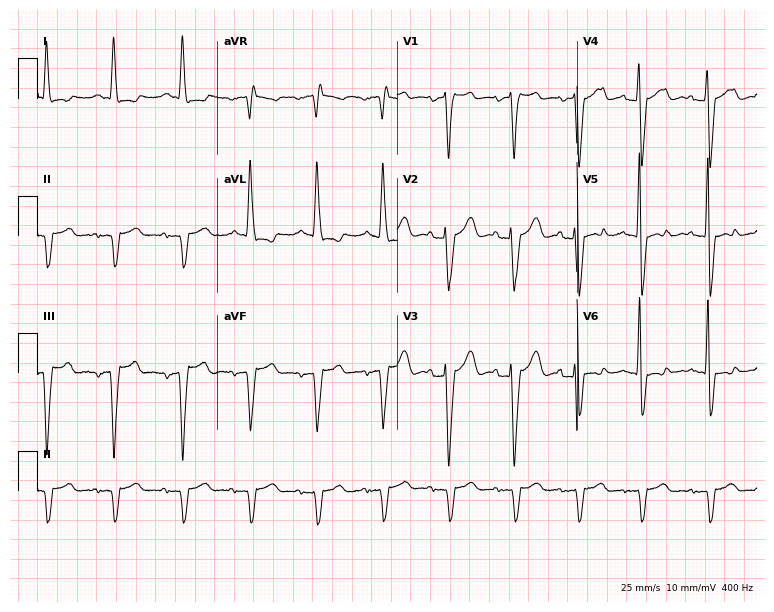
Electrocardiogram (7.3-second recording at 400 Hz), a male, 76 years old. Of the six screened findings (first-degree AV block, right bundle branch block, left bundle branch block, sinus bradycardia, atrial fibrillation, sinus tachycardia), none is recorded.